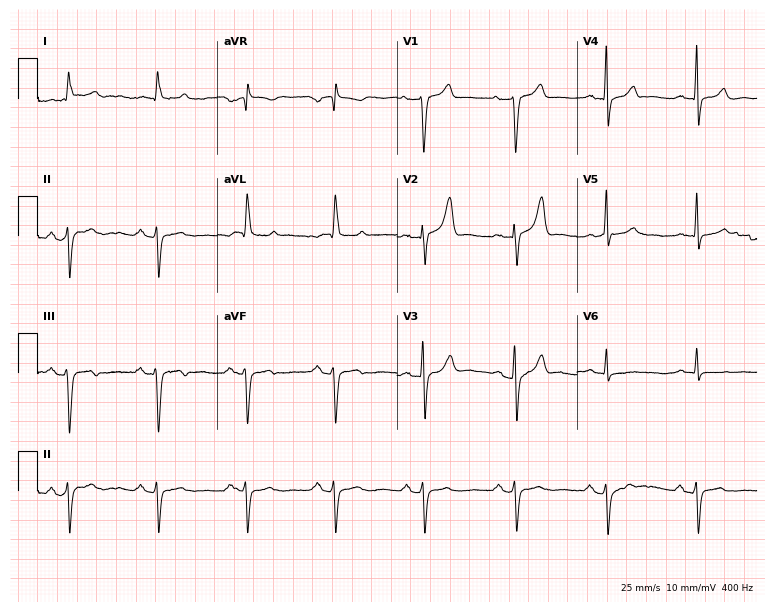
Electrocardiogram, a male patient, 83 years old. Of the six screened findings (first-degree AV block, right bundle branch block (RBBB), left bundle branch block (LBBB), sinus bradycardia, atrial fibrillation (AF), sinus tachycardia), none is recorded.